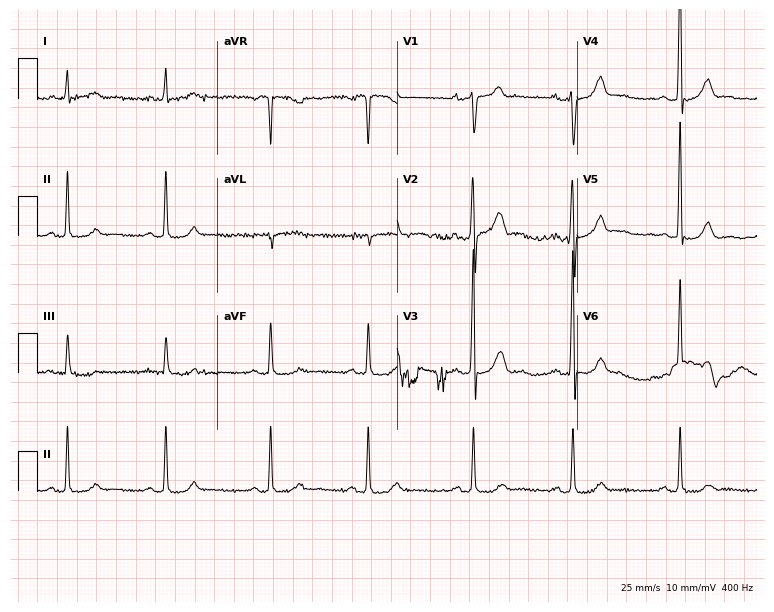
ECG — a 63-year-old male patient. Labelled as a normal ECG.